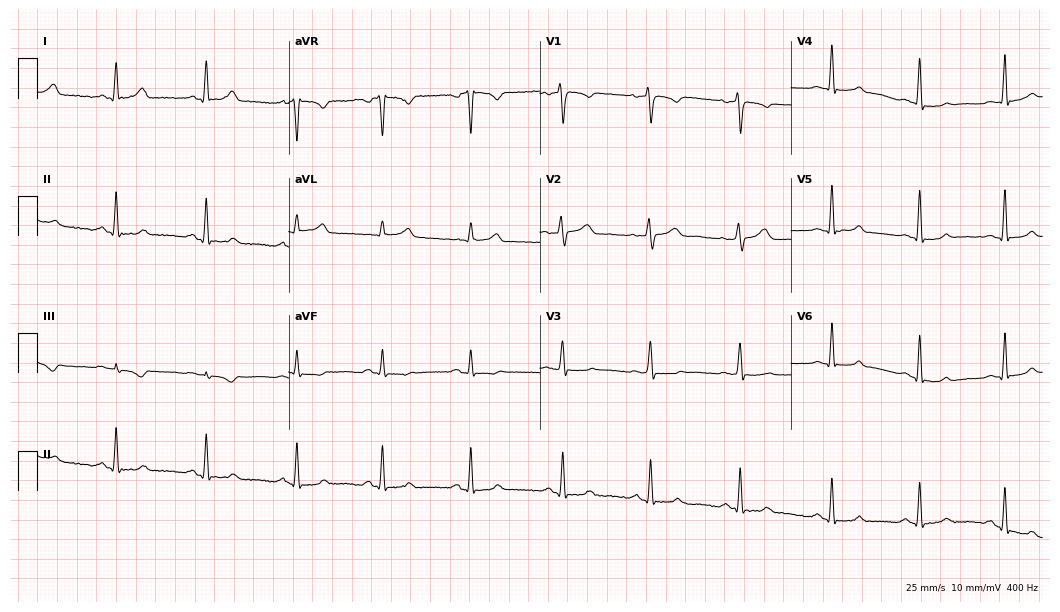
Electrocardiogram (10.2-second recording at 400 Hz), a 35-year-old female patient. Overall reading on record: normal ECG.